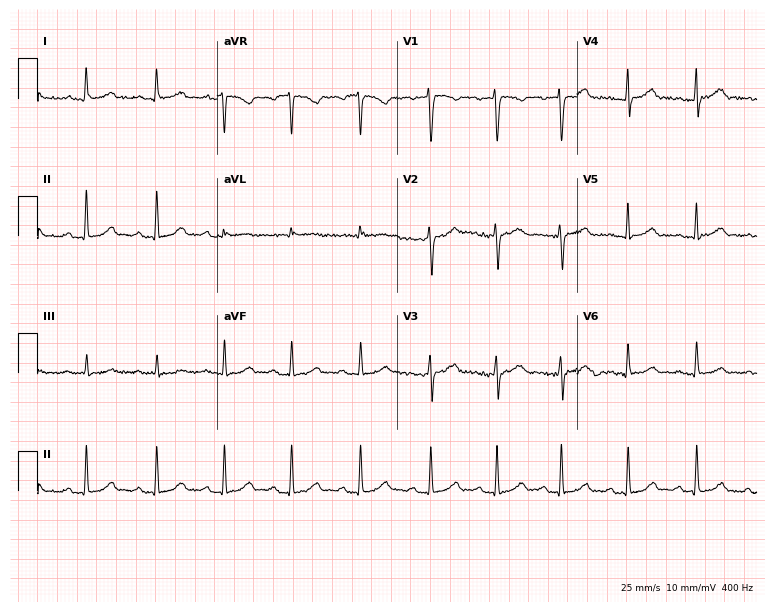
ECG — a woman, 30 years old. Screened for six findings — first-degree AV block, right bundle branch block, left bundle branch block, sinus bradycardia, atrial fibrillation, sinus tachycardia — none is recorded.